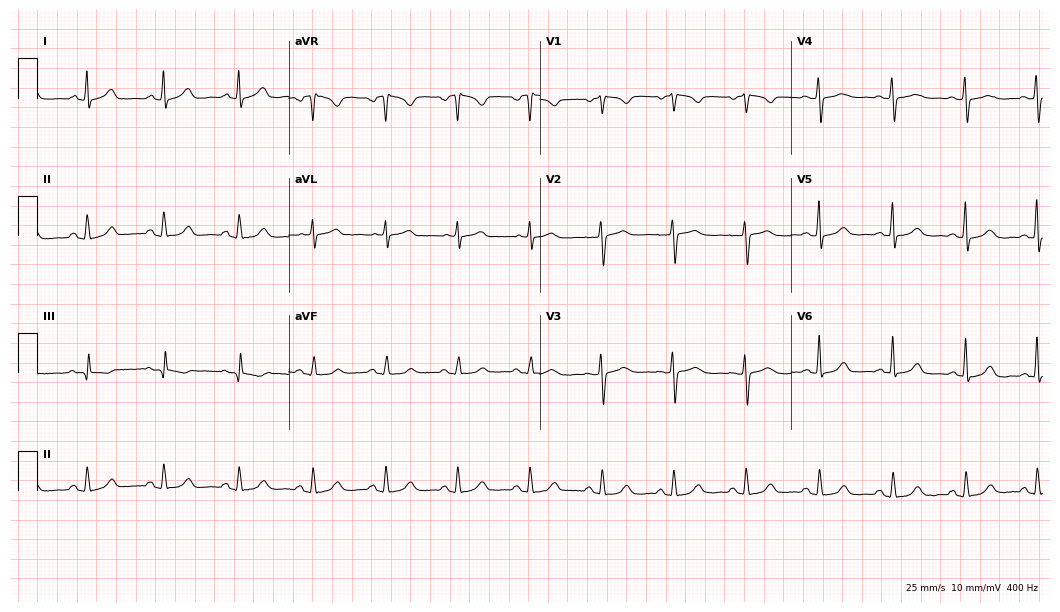
Electrocardiogram, a female, 60 years old. Overall reading on record: normal ECG.